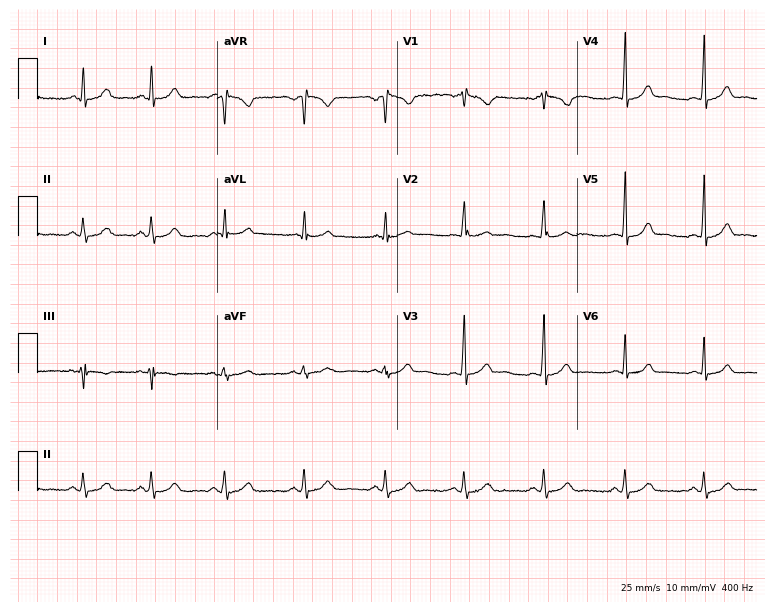
12-lead ECG from an 18-year-old female. Recorded interpretation: within normal limits.